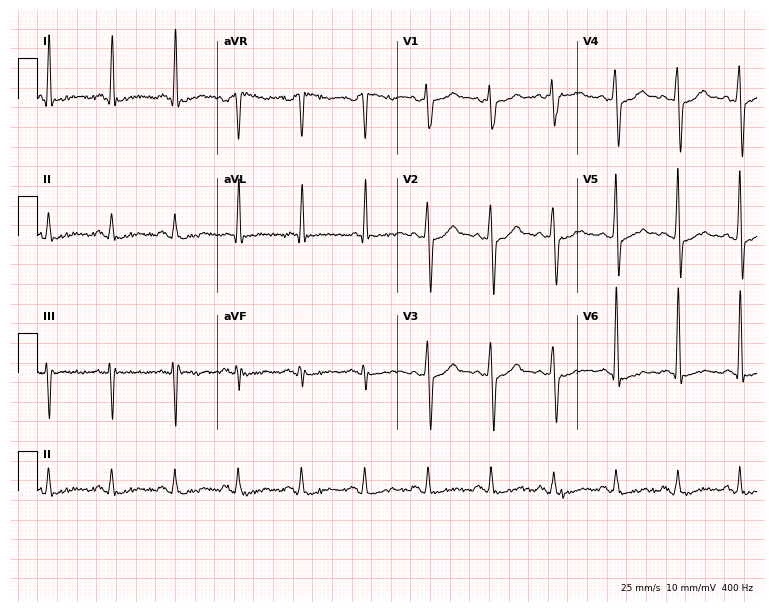
12-lead ECG from a man, 50 years old. Screened for six findings — first-degree AV block, right bundle branch block, left bundle branch block, sinus bradycardia, atrial fibrillation, sinus tachycardia — none is recorded. Other findings, if any, are not listed.